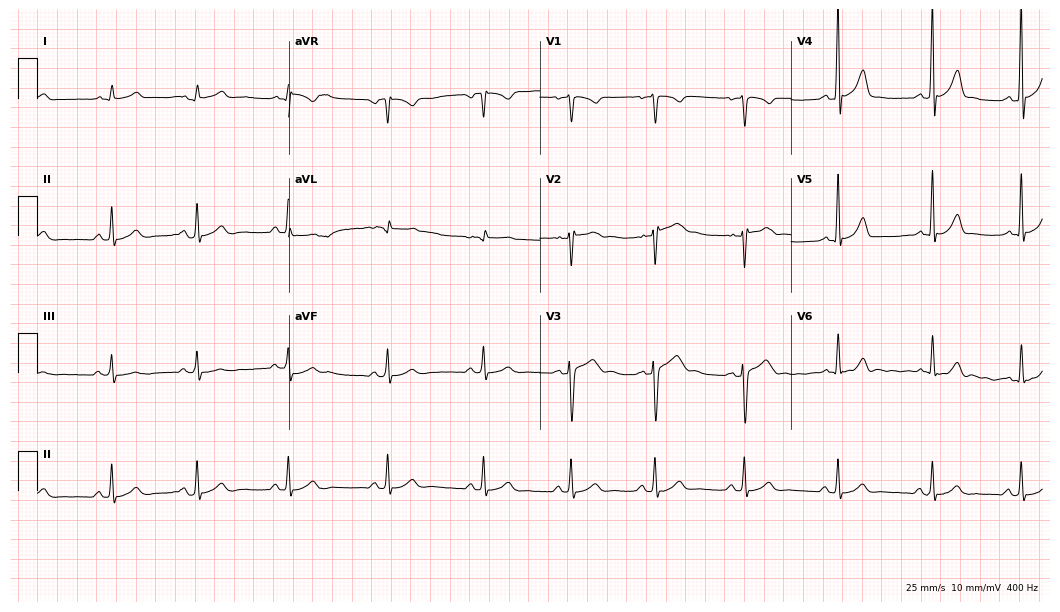
Electrocardiogram, a male patient, 22 years old. Overall reading on record: normal ECG.